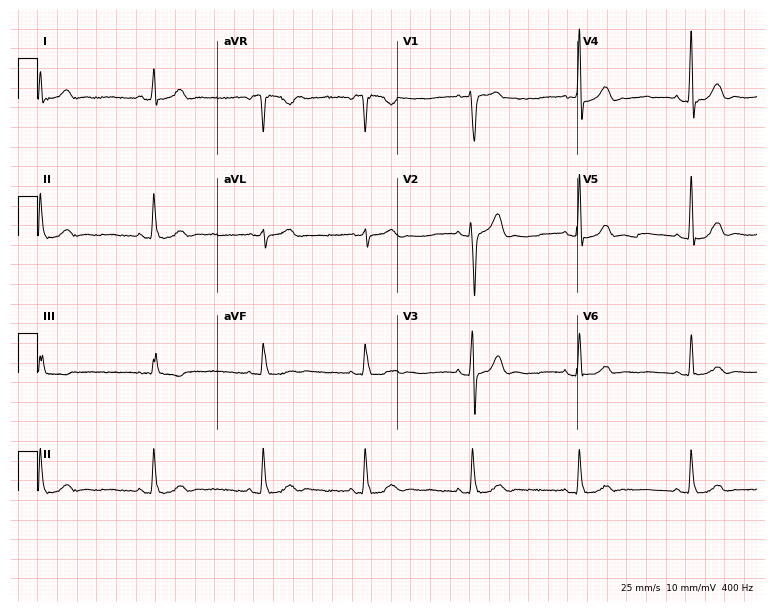
12-lead ECG from a man, 33 years old (7.3-second recording at 400 Hz). Recorded interpretation: within normal limits.